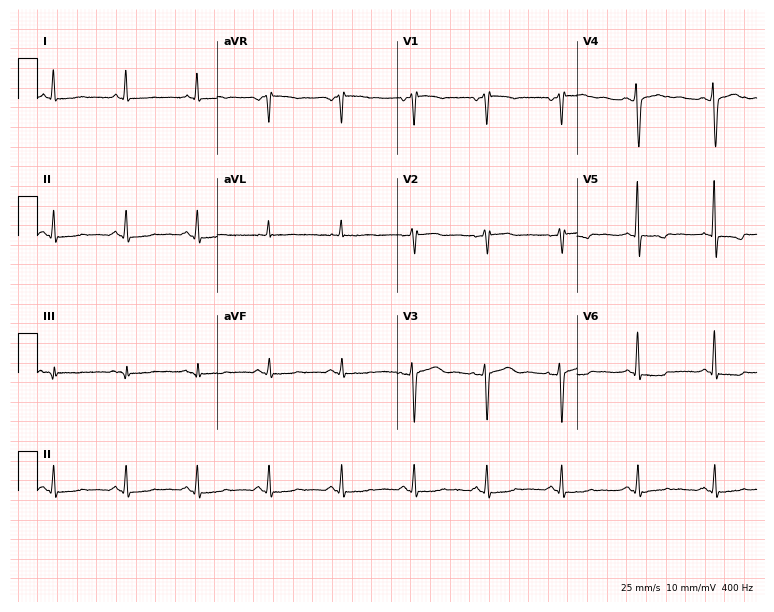
12-lead ECG from a 37-year-old female. Screened for six findings — first-degree AV block, right bundle branch block, left bundle branch block, sinus bradycardia, atrial fibrillation, sinus tachycardia — none is recorded. Other findings, if any, are not listed.